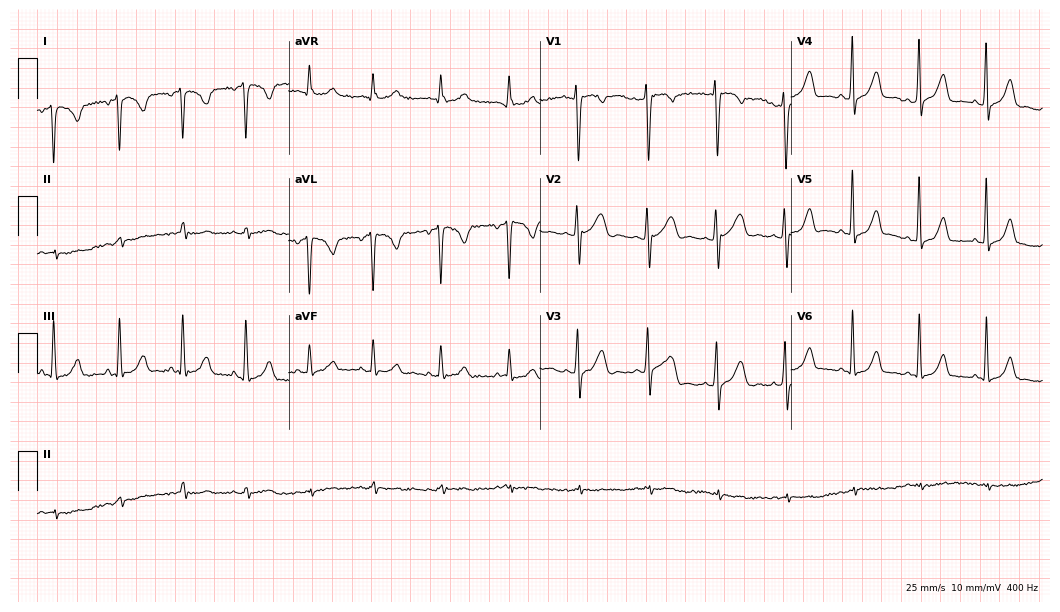
12-lead ECG from a woman, 30 years old. Labelled as a normal ECG.